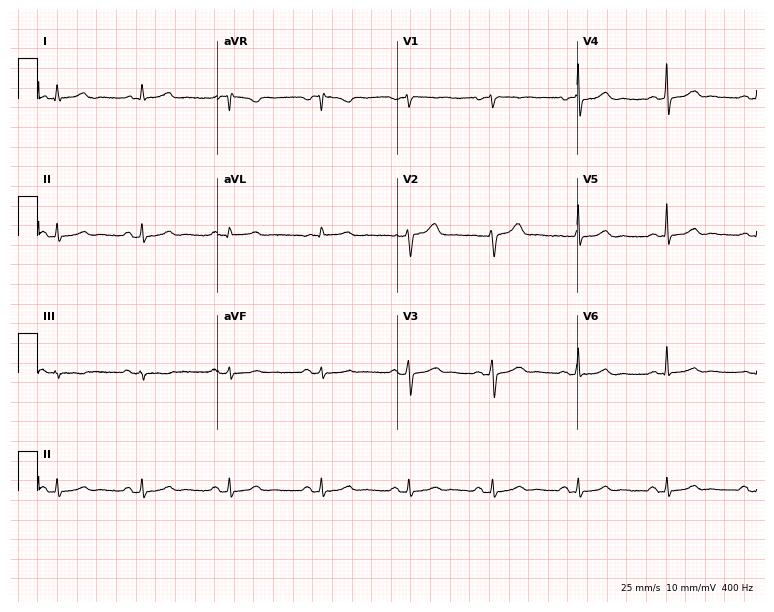
Electrocardiogram, a 44-year-old female patient. Of the six screened findings (first-degree AV block, right bundle branch block (RBBB), left bundle branch block (LBBB), sinus bradycardia, atrial fibrillation (AF), sinus tachycardia), none is recorded.